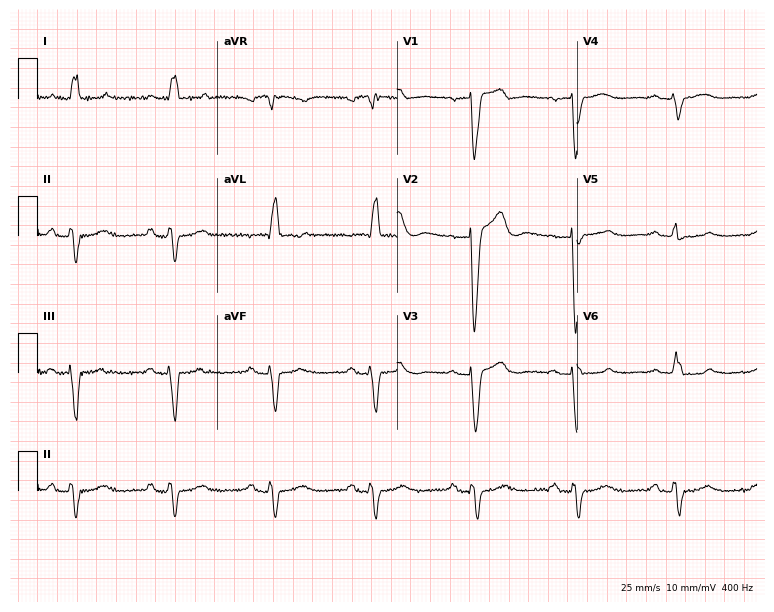
Standard 12-lead ECG recorded from a female patient, 78 years old. The tracing shows left bundle branch block.